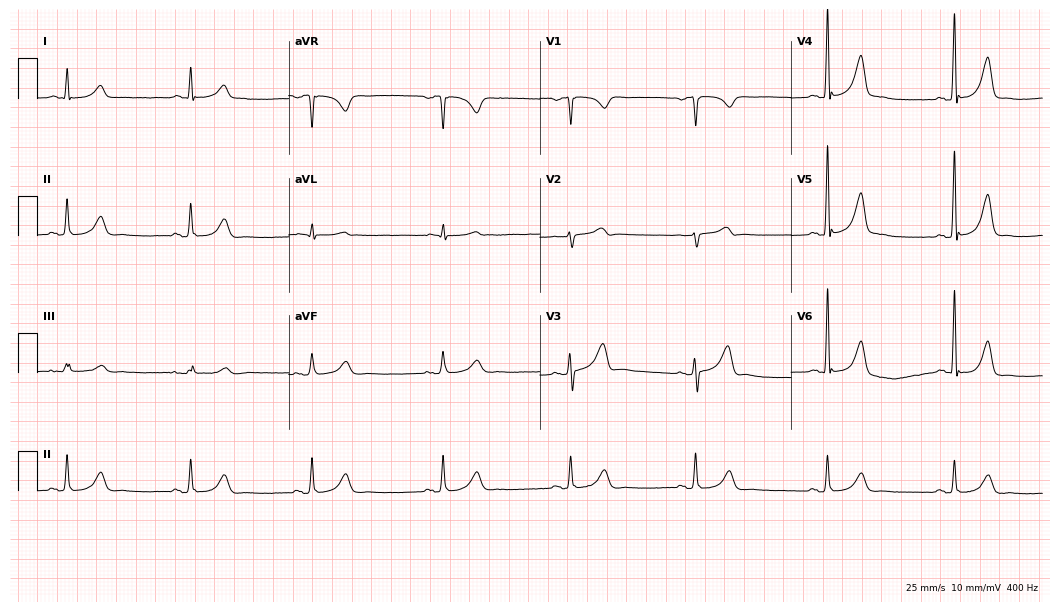
12-lead ECG from a male patient, 67 years old. Findings include sinus bradycardia (a sinus rate of 50 beats per minute or less).